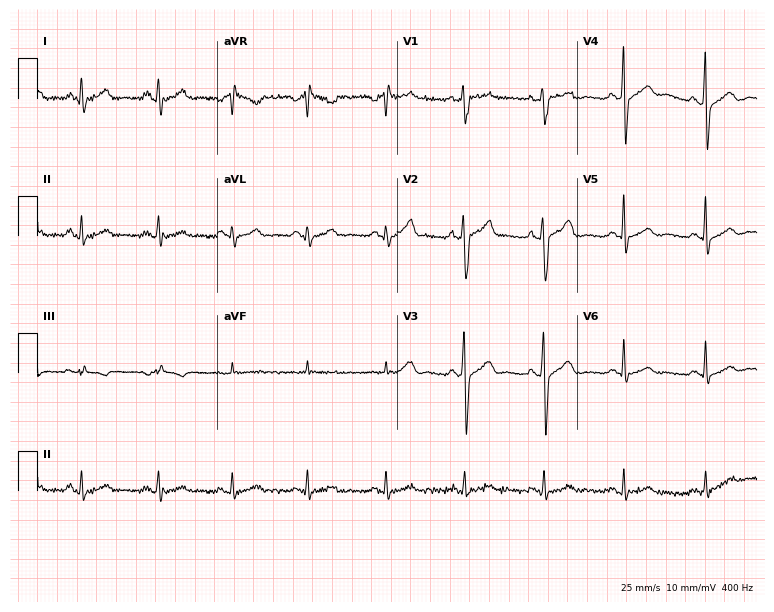
ECG (7.3-second recording at 400 Hz) — a man, 39 years old. Labelled as a normal ECG.